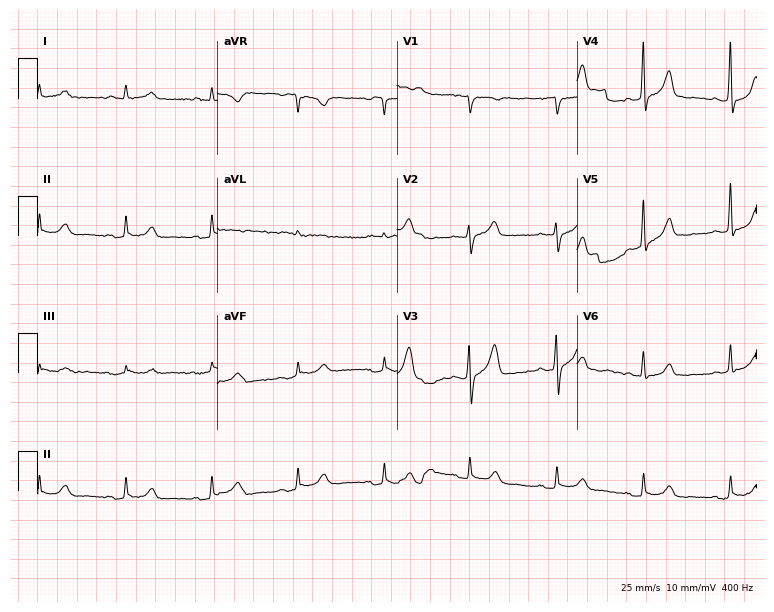
12-lead ECG from an 83-year-old man. No first-degree AV block, right bundle branch block, left bundle branch block, sinus bradycardia, atrial fibrillation or sinus tachycardia recorded for this tracing.